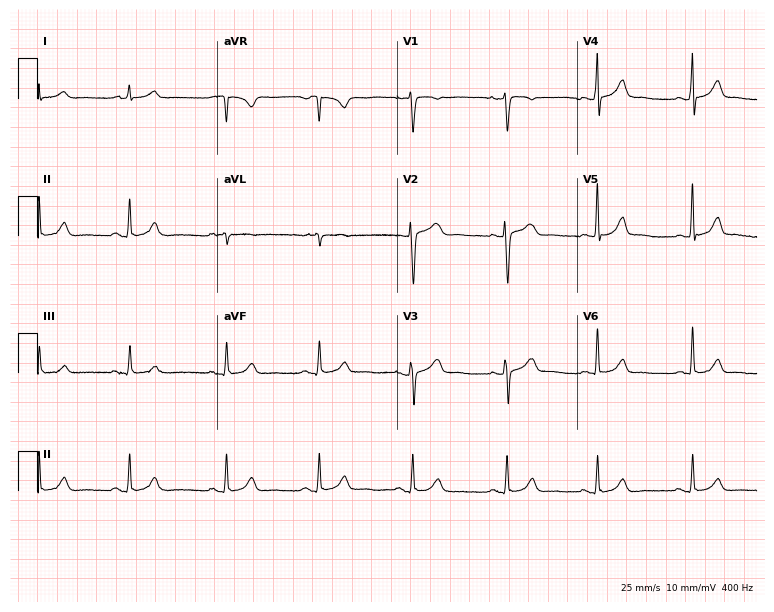
12-lead ECG (7.3-second recording at 400 Hz) from a female, 46 years old. Screened for six findings — first-degree AV block, right bundle branch block, left bundle branch block, sinus bradycardia, atrial fibrillation, sinus tachycardia — none is recorded. Only these six findings were labelled.